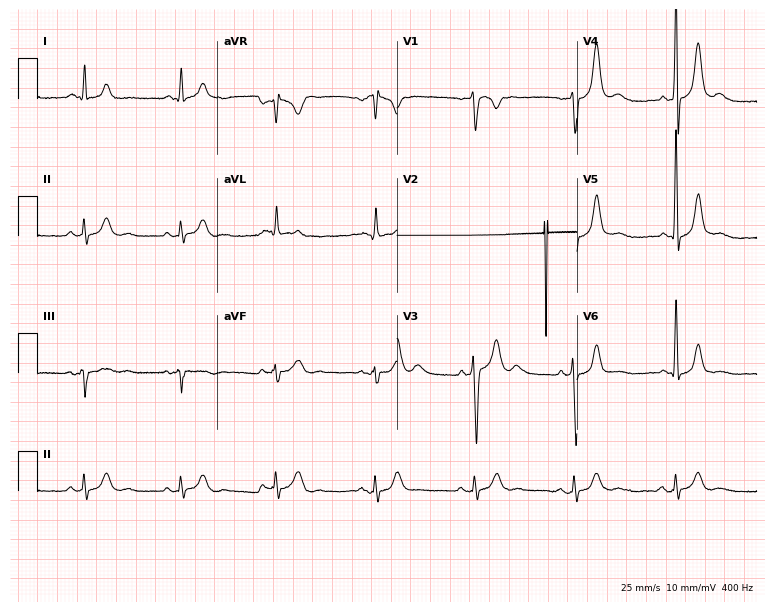
Resting 12-lead electrocardiogram (7.3-second recording at 400 Hz). Patient: a man, 45 years old. None of these six findings is recorded: first-degree AV block, right bundle branch block, left bundle branch block, sinus bradycardia, atrial fibrillation, sinus tachycardia. Other findings, if any, are not listed.